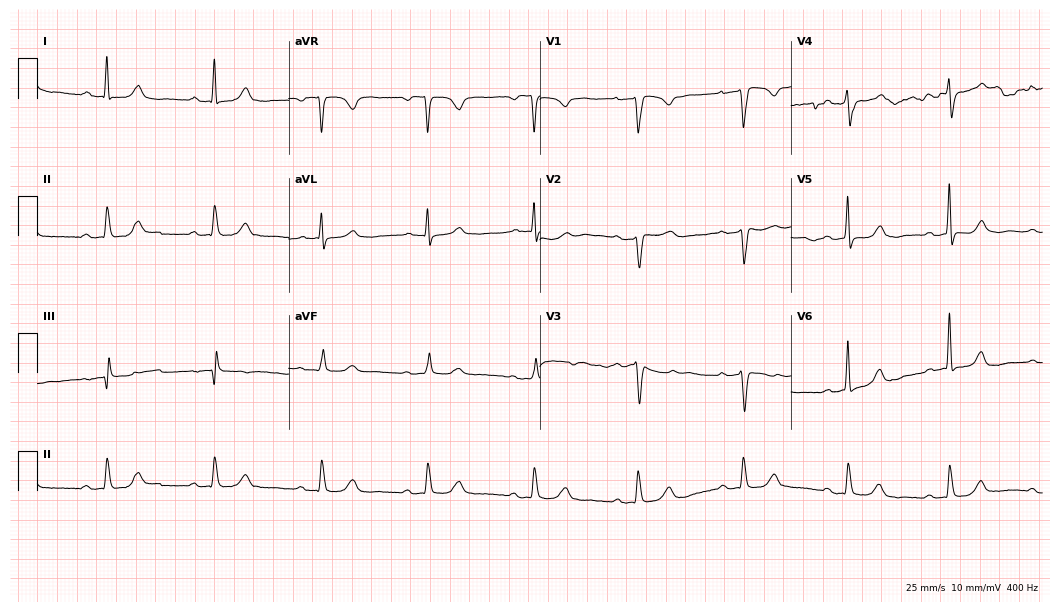
12-lead ECG from a 67-year-old male. Shows first-degree AV block.